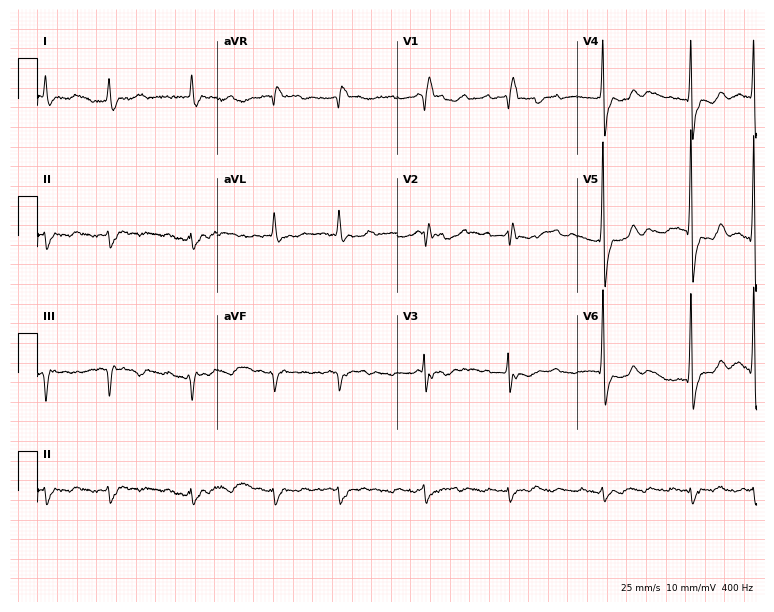
ECG — a male patient, 83 years old. Findings include right bundle branch block, atrial fibrillation.